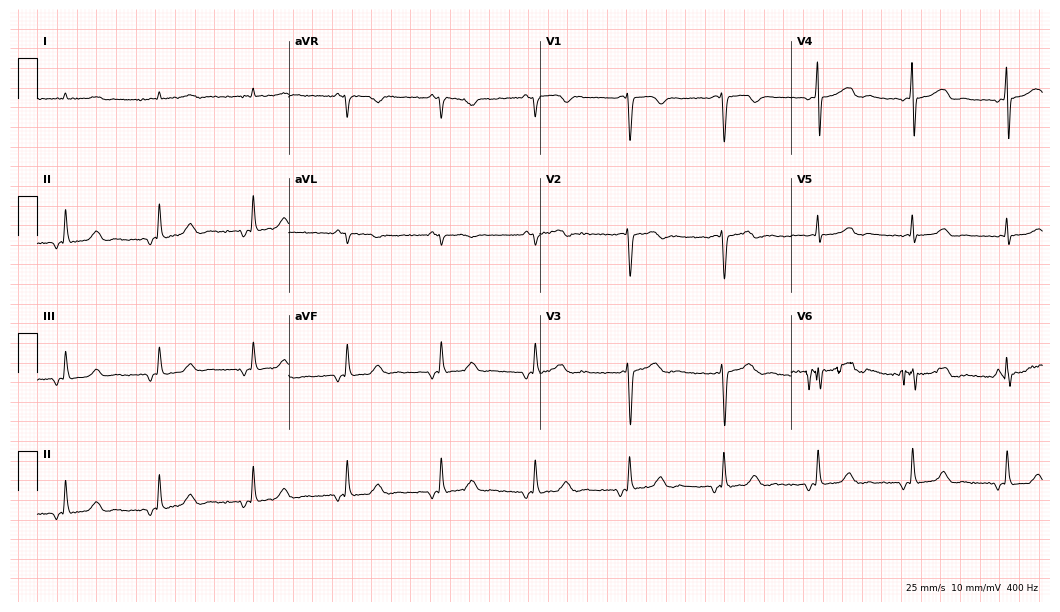
ECG (10.2-second recording at 400 Hz) — a female patient, 52 years old. Screened for six findings — first-degree AV block, right bundle branch block, left bundle branch block, sinus bradycardia, atrial fibrillation, sinus tachycardia — none is recorded.